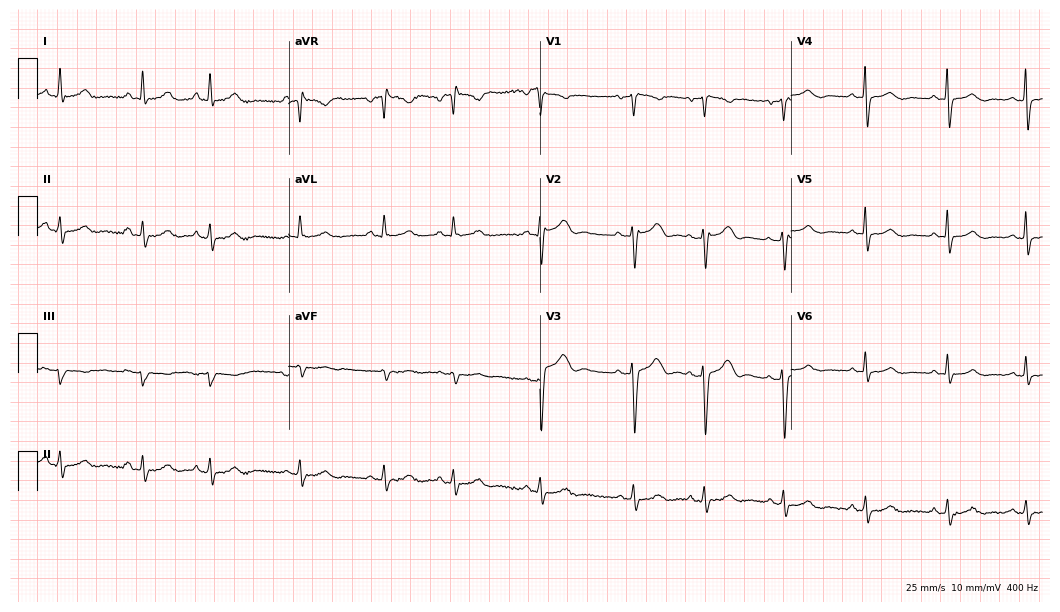
Resting 12-lead electrocardiogram (10.2-second recording at 400 Hz). Patient: a 30-year-old woman. None of these six findings is recorded: first-degree AV block, right bundle branch block, left bundle branch block, sinus bradycardia, atrial fibrillation, sinus tachycardia.